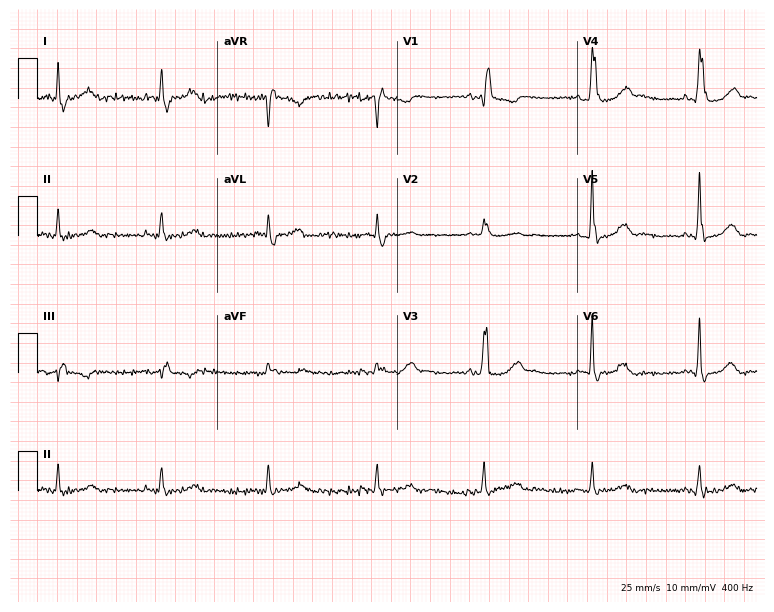
Electrocardiogram, a man, 82 years old. Interpretation includes right bundle branch block (RBBB).